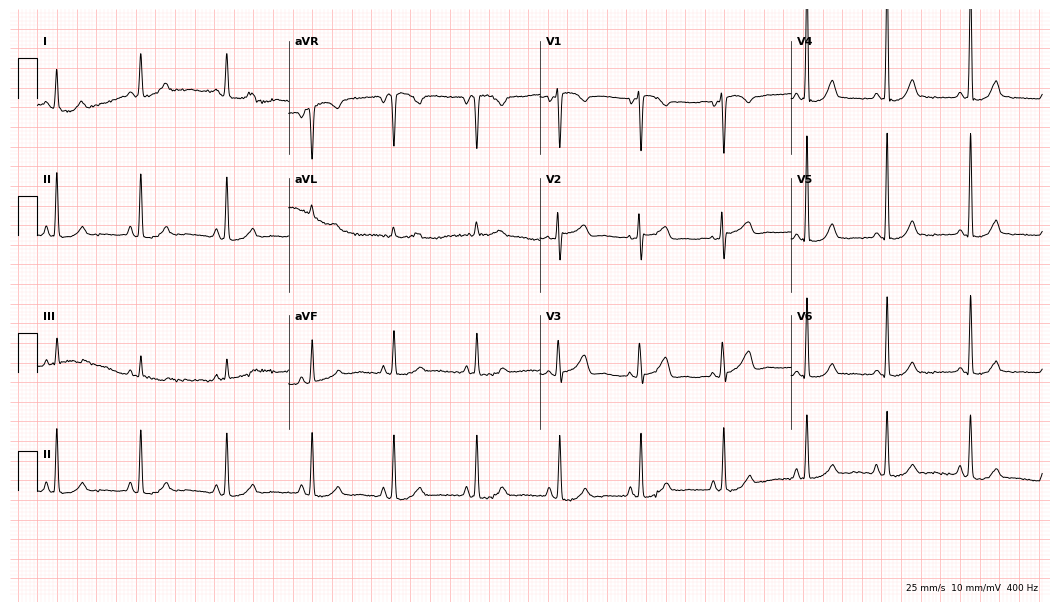
Standard 12-lead ECG recorded from a woman, 42 years old (10.2-second recording at 400 Hz). Read as a normal ECG.